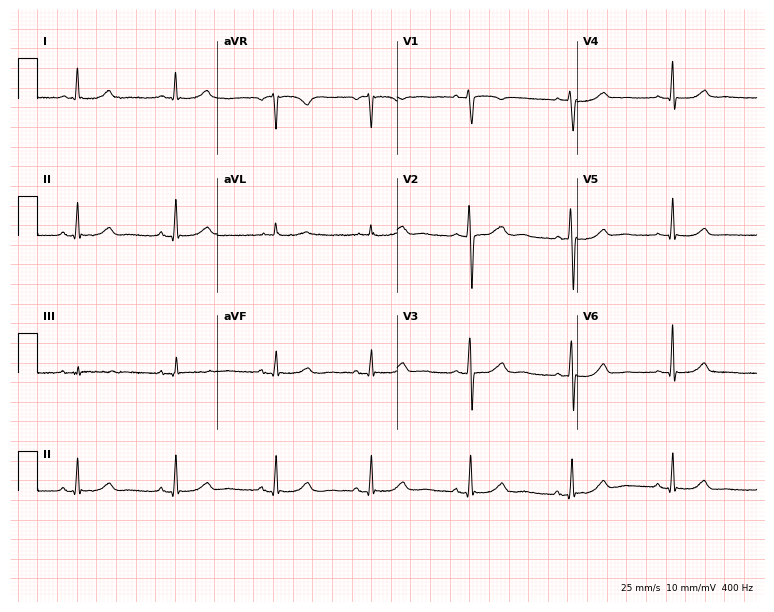
Electrocardiogram, a woman, 72 years old. Overall reading on record: normal ECG.